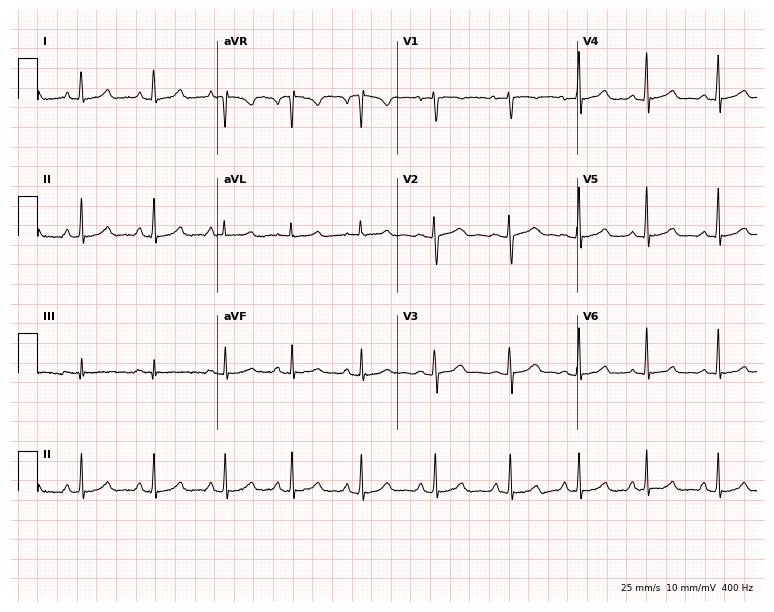
ECG (7.3-second recording at 400 Hz) — a female patient, 36 years old. Labelled as a normal ECG.